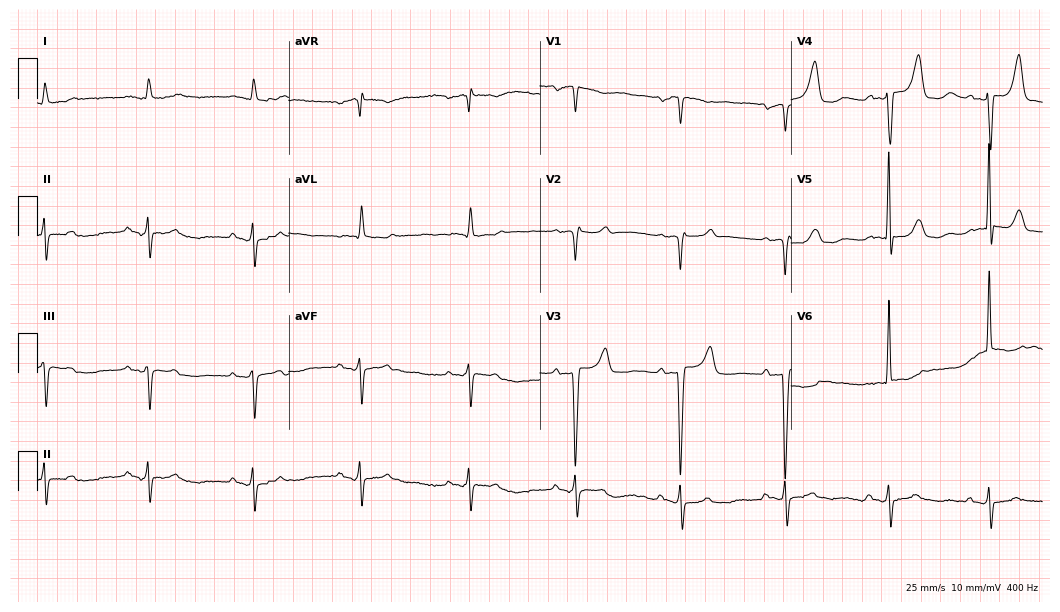
Resting 12-lead electrocardiogram (10.2-second recording at 400 Hz). Patient: a female, 70 years old. None of these six findings is recorded: first-degree AV block, right bundle branch block (RBBB), left bundle branch block (LBBB), sinus bradycardia, atrial fibrillation (AF), sinus tachycardia. Findings outside these six are not listed.